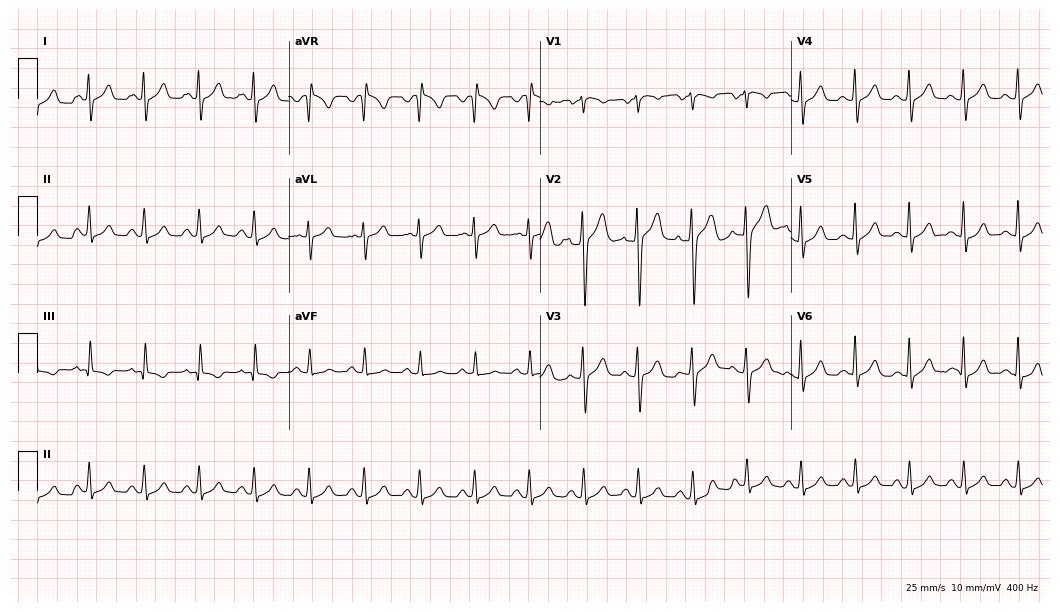
Electrocardiogram, a 29-year-old male patient. Interpretation includes sinus tachycardia (a sinus rate of 100 beats per minute or more).